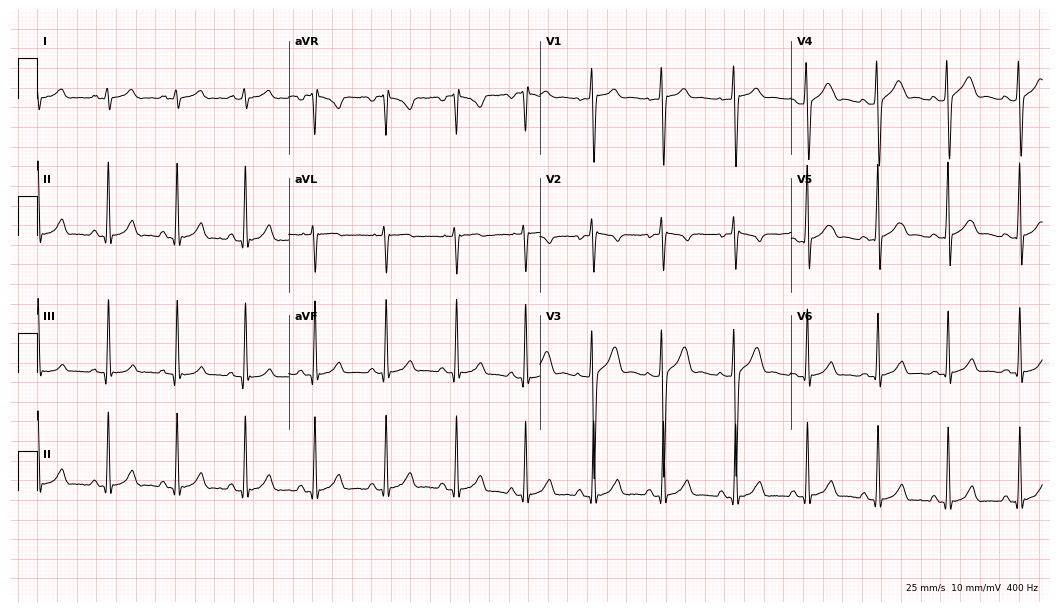
ECG (10.2-second recording at 400 Hz) — a man, 17 years old. Labelled as a normal ECG.